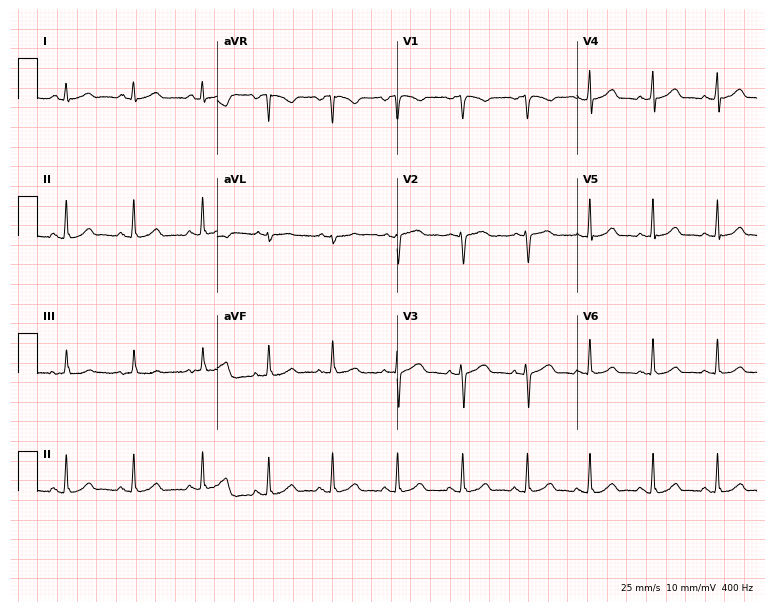
ECG (7.3-second recording at 400 Hz) — a woman, 38 years old. Labelled as a normal ECG.